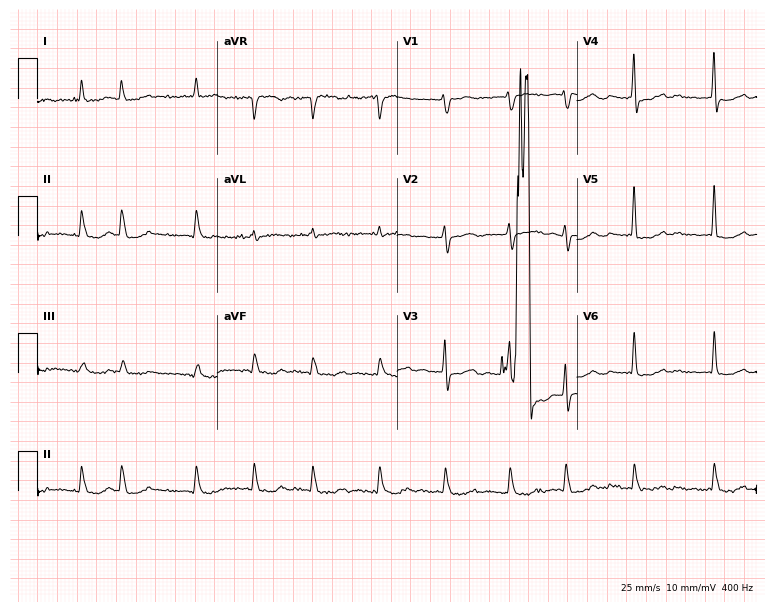
12-lead ECG (7.3-second recording at 400 Hz) from an 84-year-old female. Findings include atrial fibrillation.